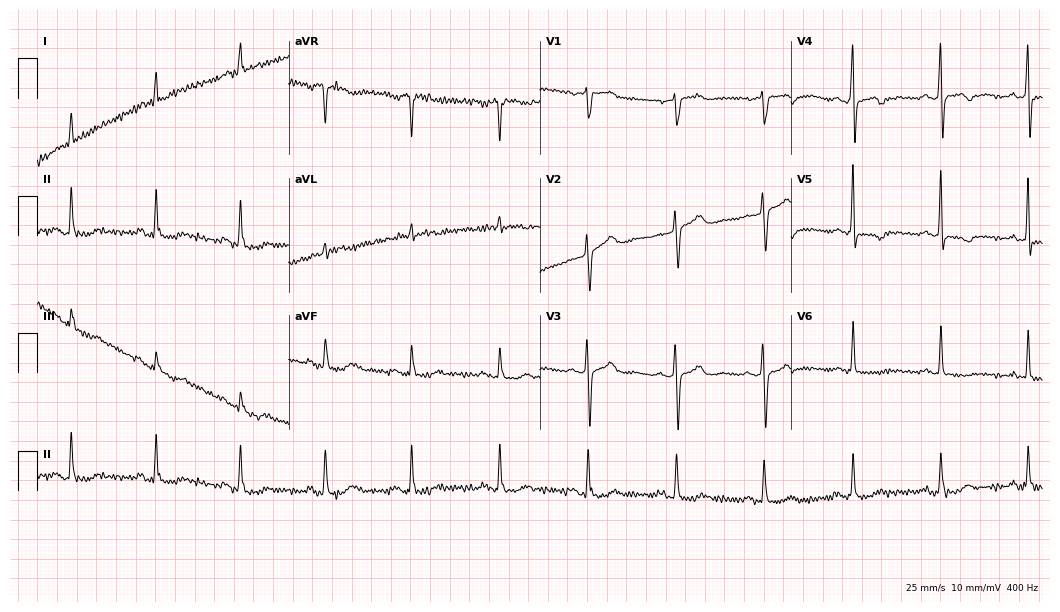
ECG (10.2-second recording at 400 Hz) — a 62-year-old female patient. Screened for six findings — first-degree AV block, right bundle branch block (RBBB), left bundle branch block (LBBB), sinus bradycardia, atrial fibrillation (AF), sinus tachycardia — none is recorded. Only these six findings were labelled.